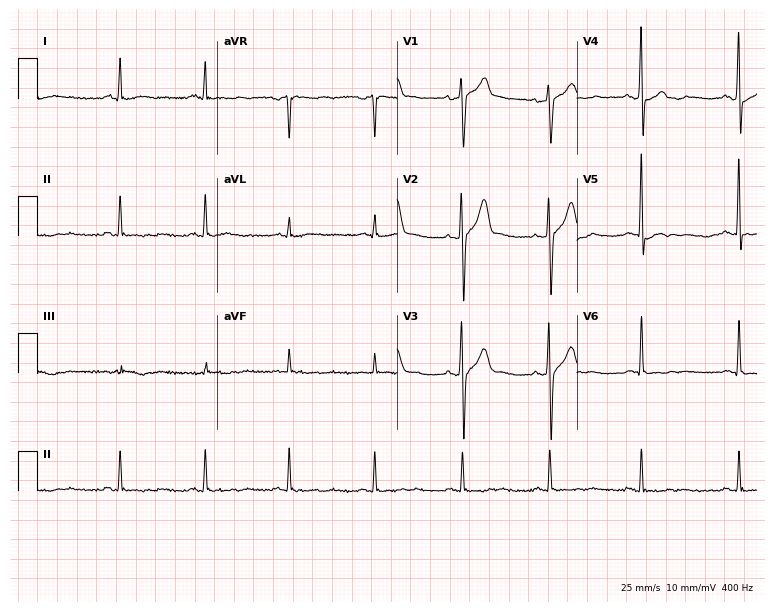
Standard 12-lead ECG recorded from a 19-year-old man (7.3-second recording at 400 Hz). None of these six findings is recorded: first-degree AV block, right bundle branch block, left bundle branch block, sinus bradycardia, atrial fibrillation, sinus tachycardia.